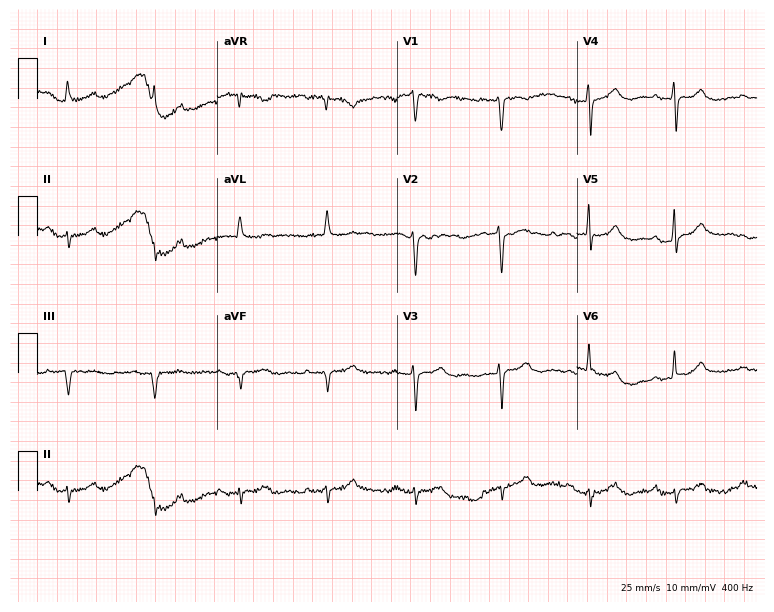
ECG — a 77-year-old female. Screened for six findings — first-degree AV block, right bundle branch block, left bundle branch block, sinus bradycardia, atrial fibrillation, sinus tachycardia — none is recorded. Only these six findings were labelled.